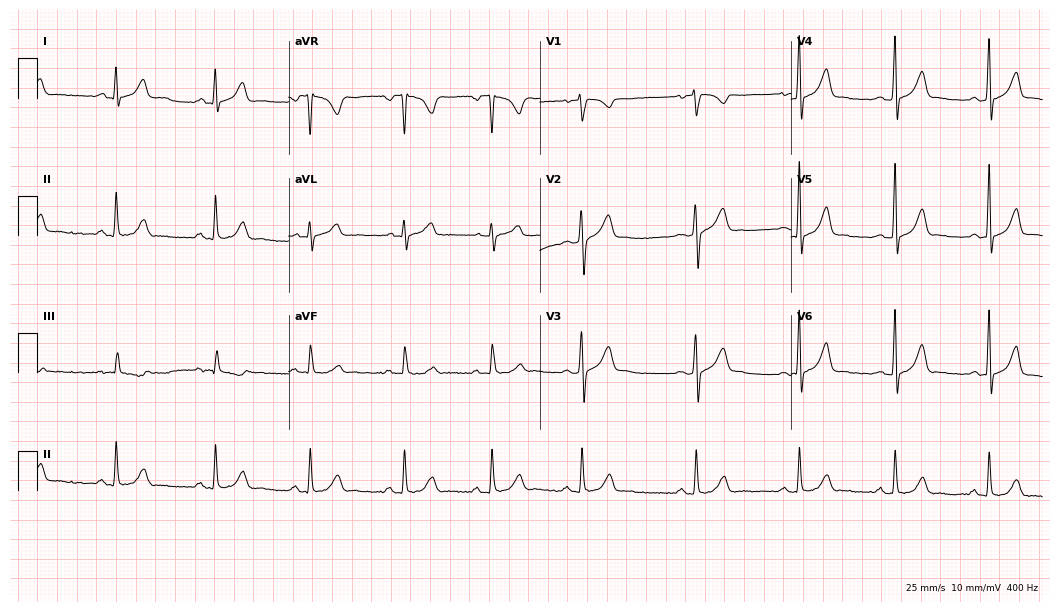
Resting 12-lead electrocardiogram (10.2-second recording at 400 Hz). Patient: a woman, 27 years old. None of these six findings is recorded: first-degree AV block, right bundle branch block, left bundle branch block, sinus bradycardia, atrial fibrillation, sinus tachycardia.